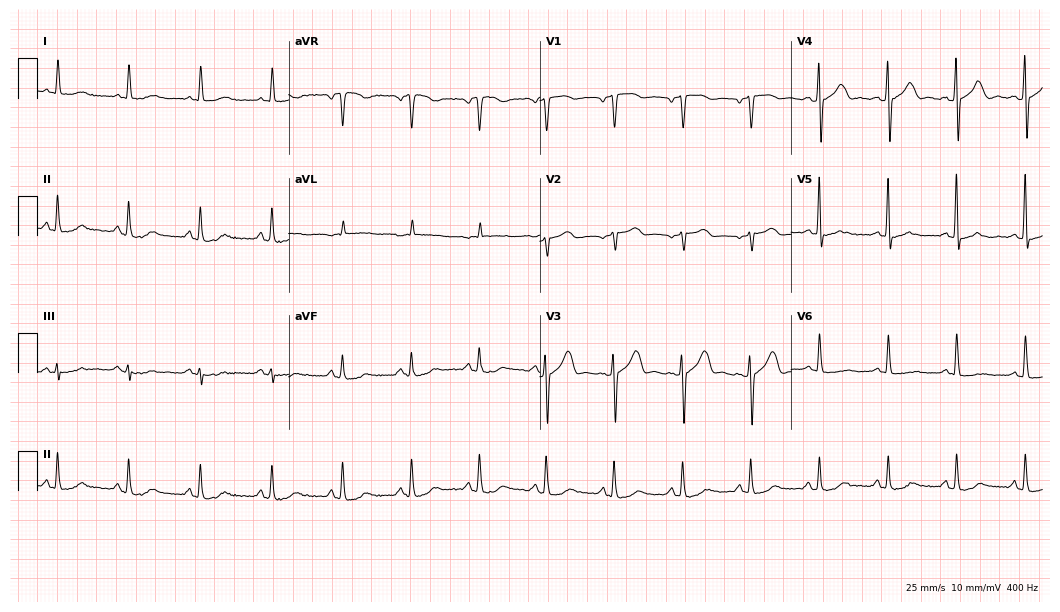
12-lead ECG from a 68-year-old female. No first-degree AV block, right bundle branch block, left bundle branch block, sinus bradycardia, atrial fibrillation or sinus tachycardia recorded for this tracing.